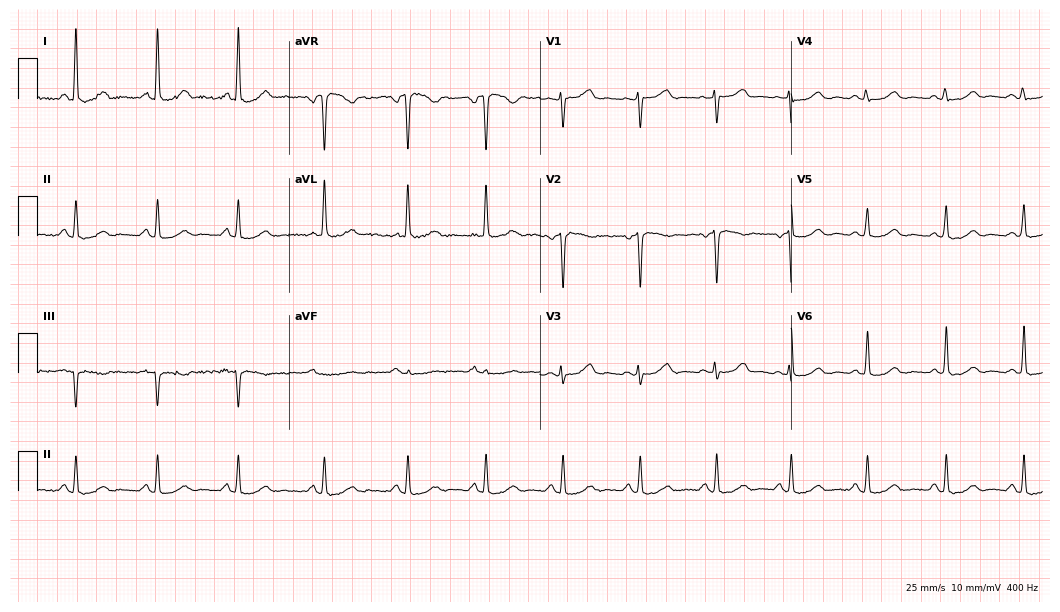
Standard 12-lead ECG recorded from a female, 49 years old. None of these six findings is recorded: first-degree AV block, right bundle branch block, left bundle branch block, sinus bradycardia, atrial fibrillation, sinus tachycardia. Findings outside these six are not listed.